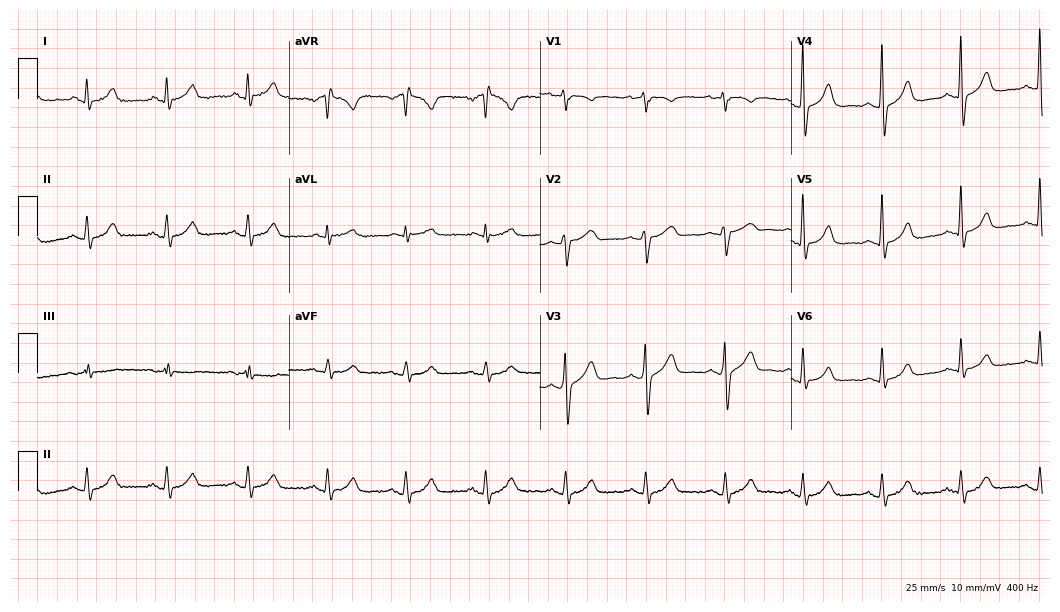
12-lead ECG from a 58-year-old male patient. Labelled as a normal ECG.